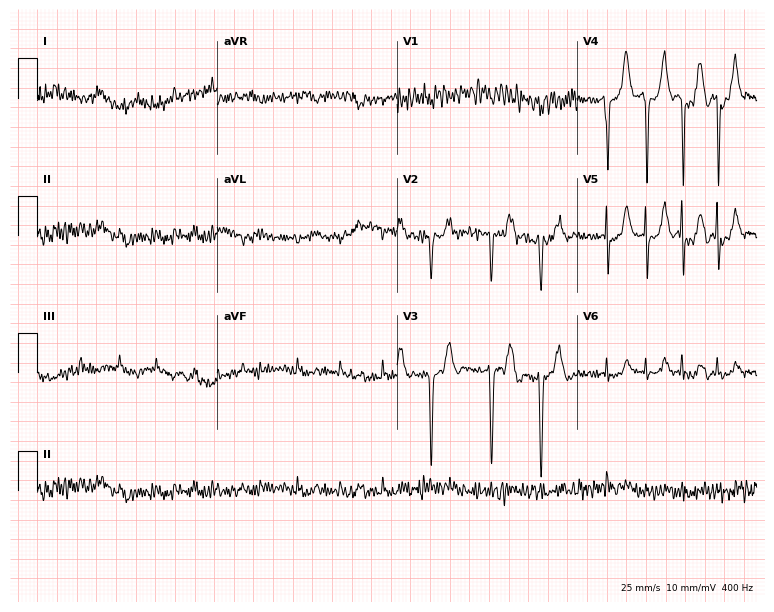
Electrocardiogram, a 68-year-old man. Of the six screened findings (first-degree AV block, right bundle branch block, left bundle branch block, sinus bradycardia, atrial fibrillation, sinus tachycardia), none is recorded.